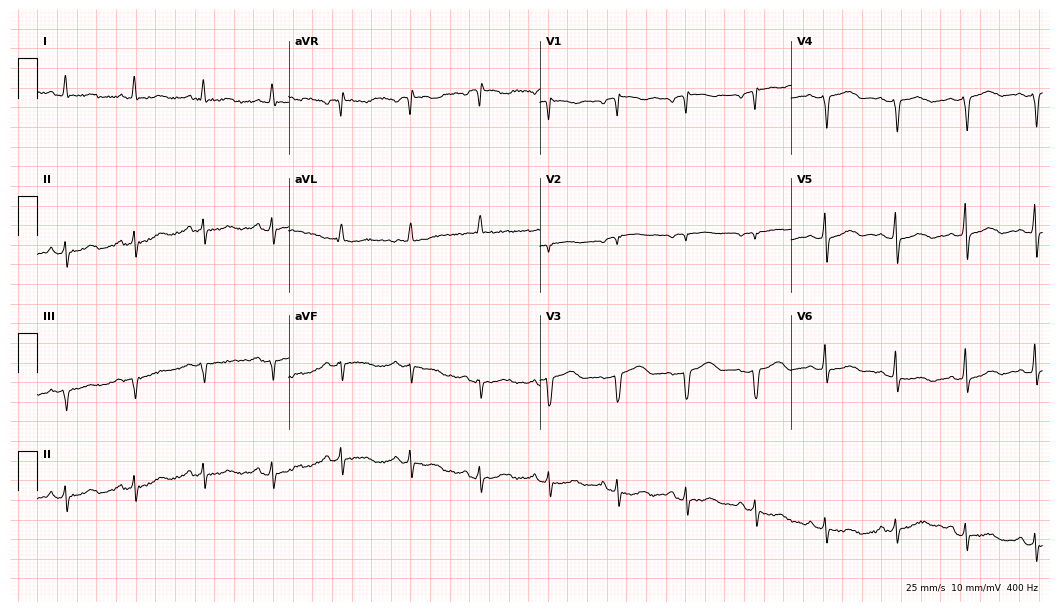
Resting 12-lead electrocardiogram (10.2-second recording at 400 Hz). Patient: an 82-year-old female. None of these six findings is recorded: first-degree AV block, right bundle branch block, left bundle branch block, sinus bradycardia, atrial fibrillation, sinus tachycardia. Other findings, if any, are not listed.